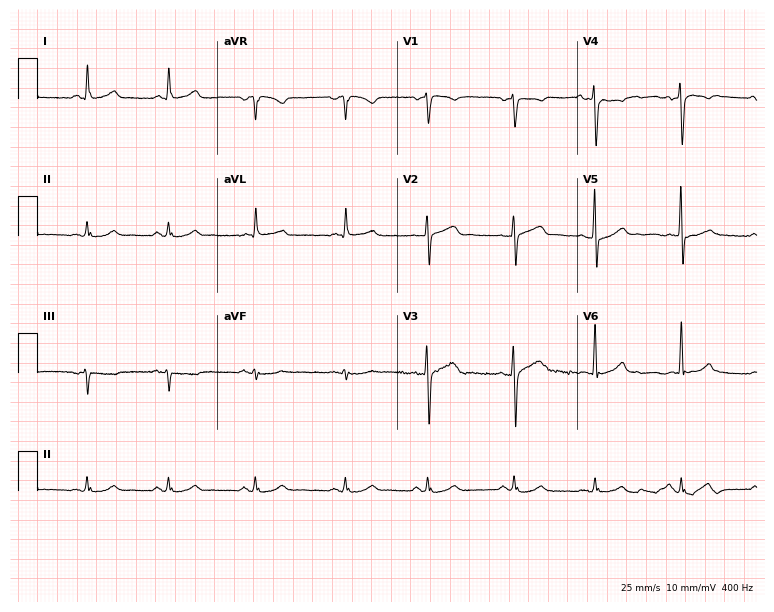
Standard 12-lead ECG recorded from a man, 61 years old. Read as a normal ECG.